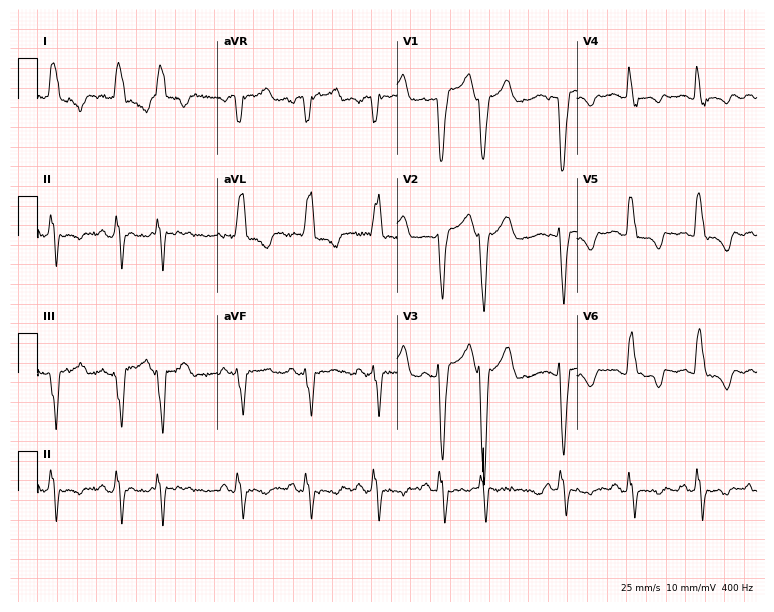
ECG (7.3-second recording at 400 Hz) — a female, 83 years old. Findings include left bundle branch block.